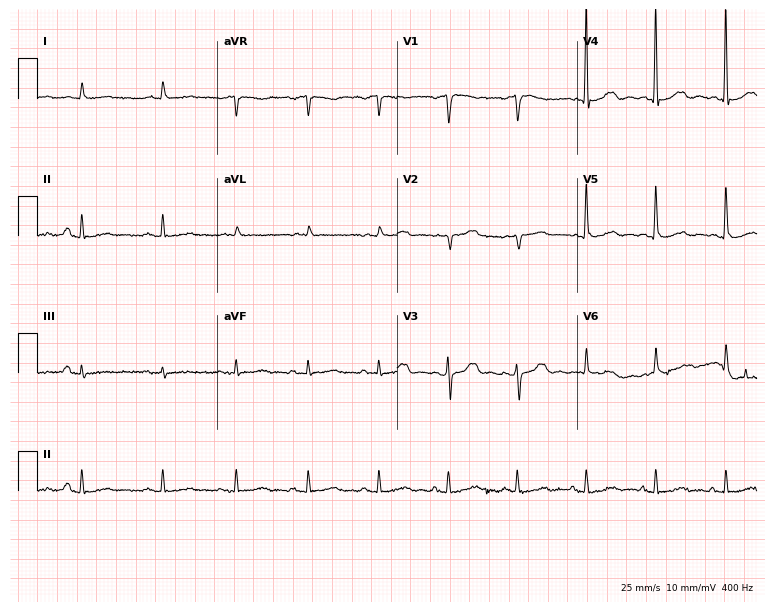
12-lead ECG from a female patient, 84 years old (7.3-second recording at 400 Hz). Recorded interpretation: within normal limits.